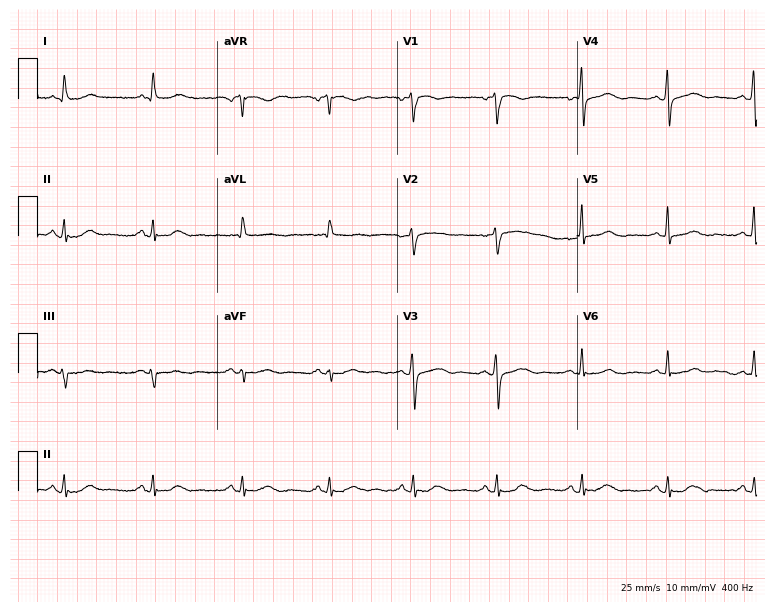
12-lead ECG from a female, 53 years old. Labelled as a normal ECG.